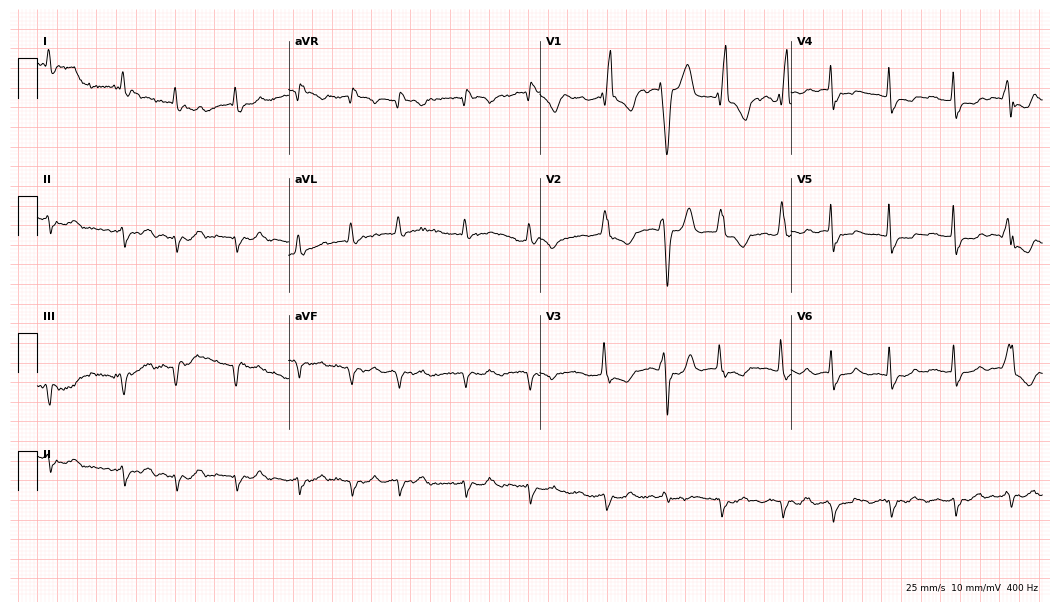
Standard 12-lead ECG recorded from an 80-year-old female. The tracing shows right bundle branch block, atrial fibrillation.